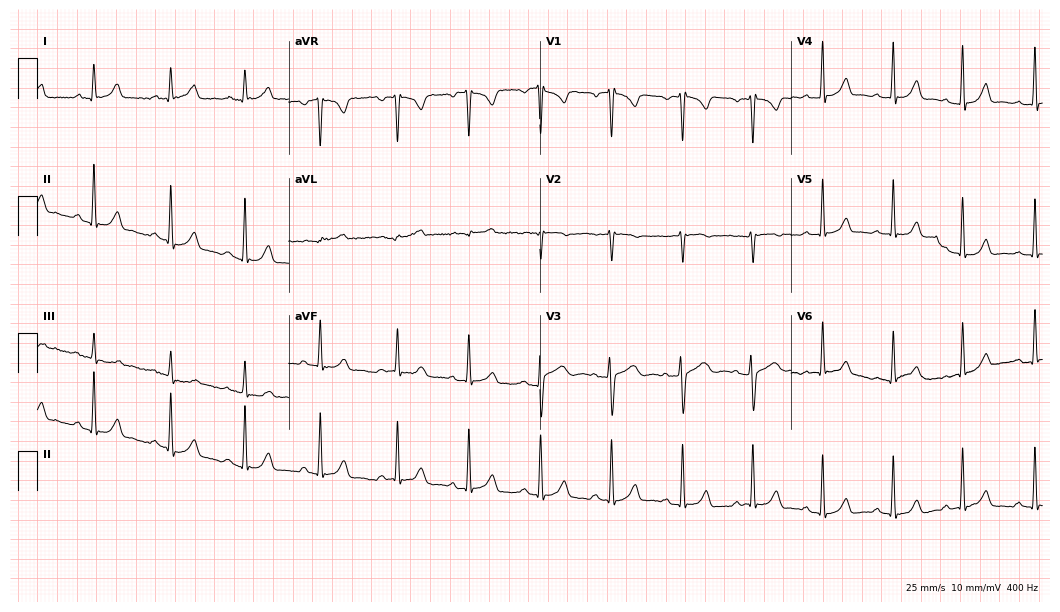
Resting 12-lead electrocardiogram. Patient: a female, 36 years old. Read as a normal ECG.